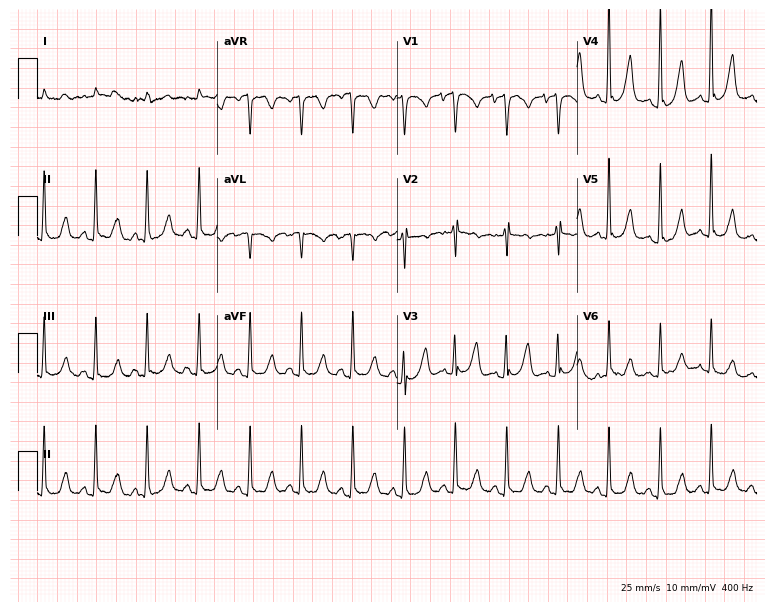
ECG — a male, 80 years old. Screened for six findings — first-degree AV block, right bundle branch block, left bundle branch block, sinus bradycardia, atrial fibrillation, sinus tachycardia — none is recorded.